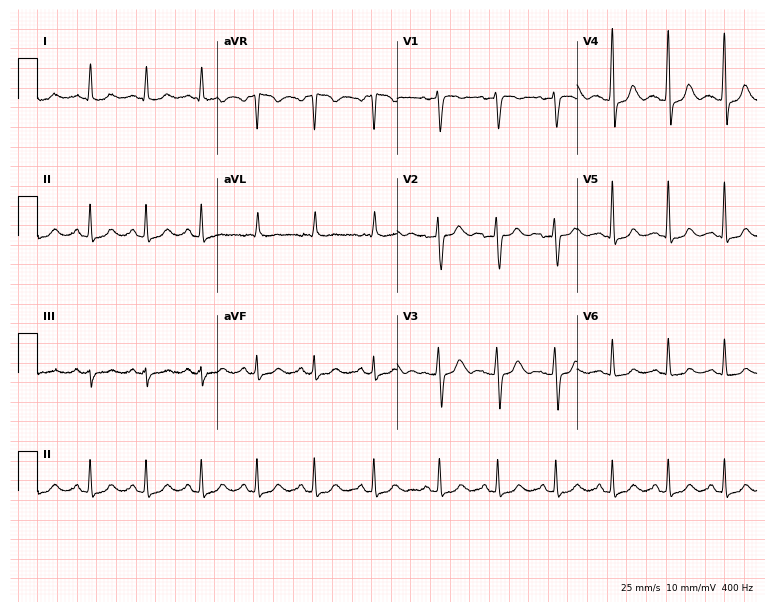
Resting 12-lead electrocardiogram (7.3-second recording at 400 Hz). Patient: a 43-year-old woman. The tracing shows sinus tachycardia (a sinus rate of 100 beats per minute or more).